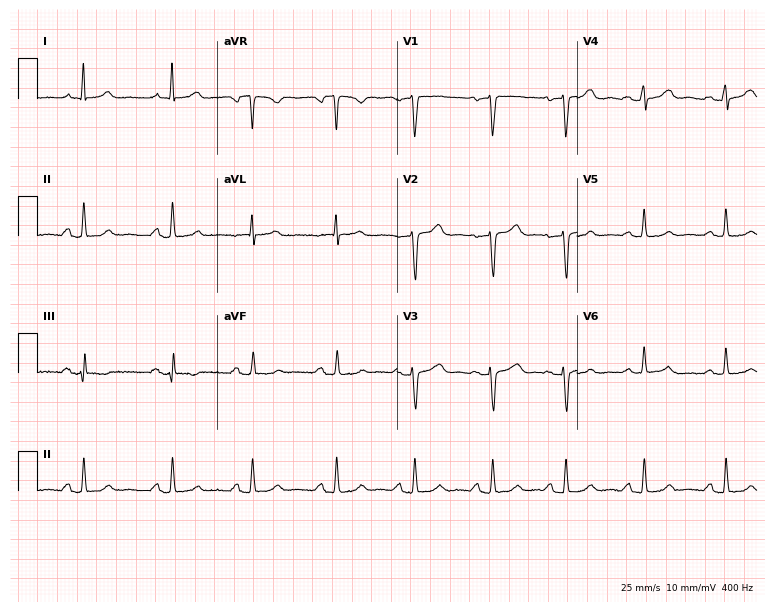
Resting 12-lead electrocardiogram. Patient: a female, 33 years old. None of these six findings is recorded: first-degree AV block, right bundle branch block, left bundle branch block, sinus bradycardia, atrial fibrillation, sinus tachycardia.